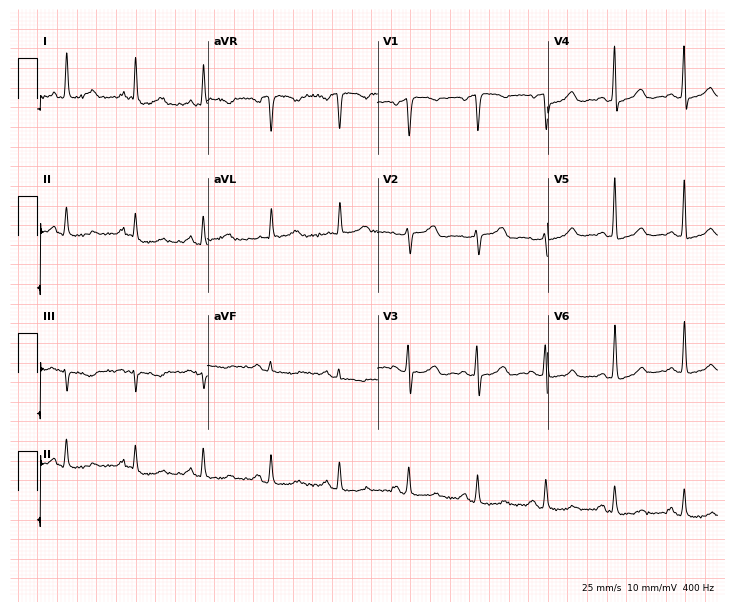
12-lead ECG (6.9-second recording at 400 Hz) from a 63-year-old female patient. Screened for six findings — first-degree AV block, right bundle branch block, left bundle branch block, sinus bradycardia, atrial fibrillation, sinus tachycardia — none is recorded. Only these six findings were labelled.